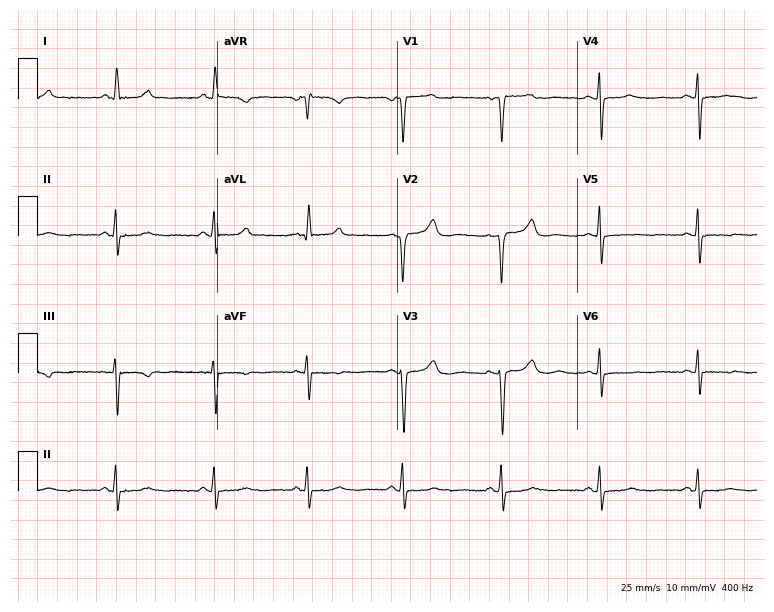
Standard 12-lead ECG recorded from a woman, 71 years old (7.3-second recording at 400 Hz). None of these six findings is recorded: first-degree AV block, right bundle branch block, left bundle branch block, sinus bradycardia, atrial fibrillation, sinus tachycardia. Only these six findings were labelled.